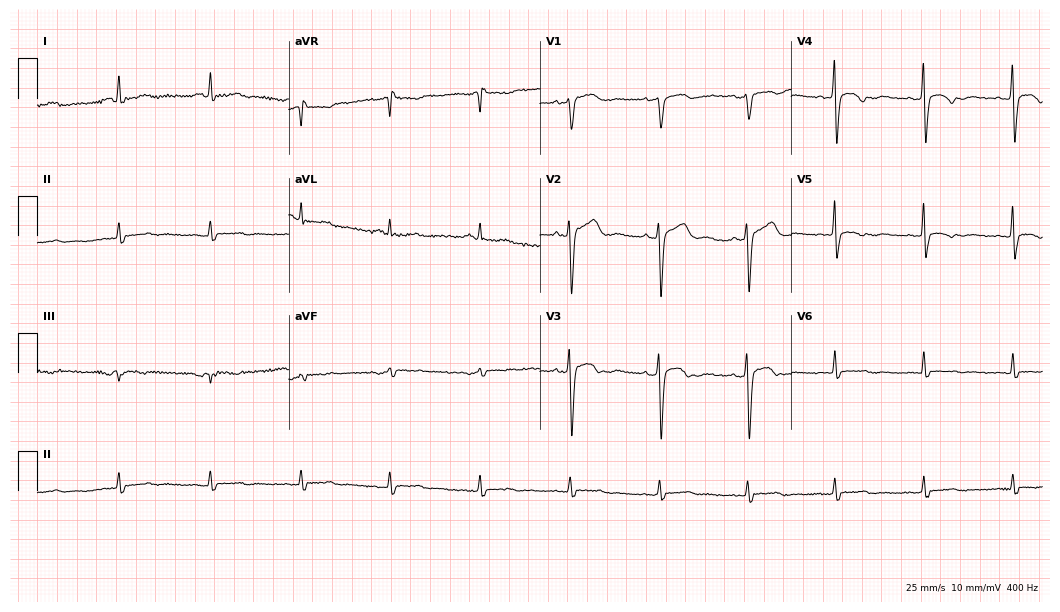
Standard 12-lead ECG recorded from a female patient, 47 years old. Read as a normal ECG.